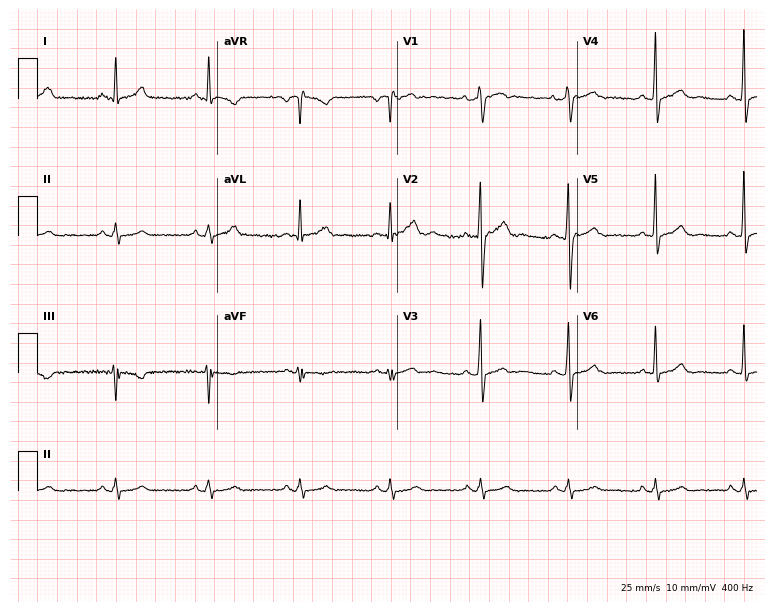
Resting 12-lead electrocardiogram (7.3-second recording at 400 Hz). Patient: a 50-year-old male. Read as a normal ECG.